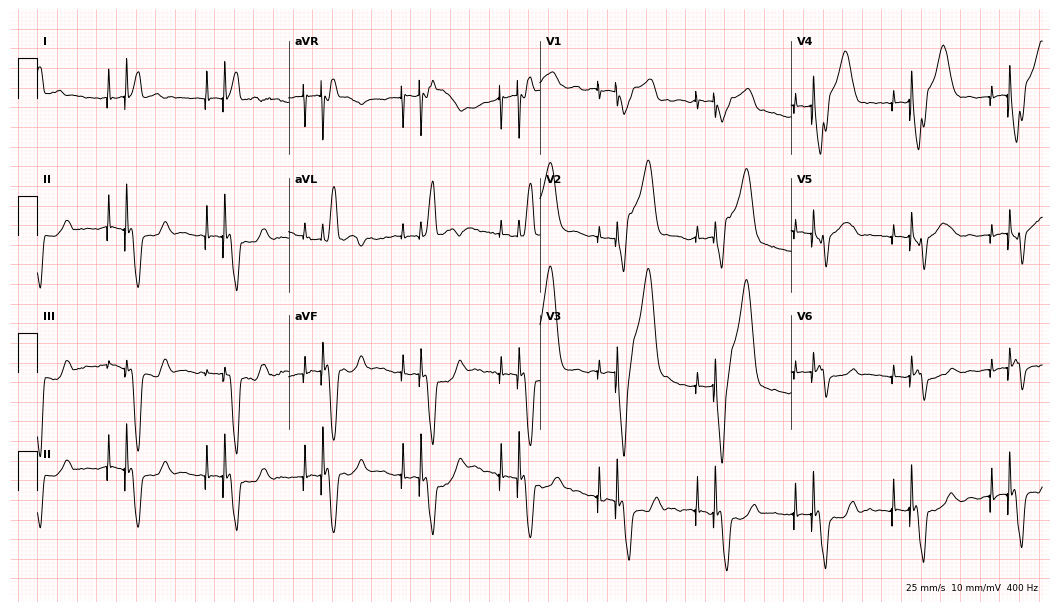
Electrocardiogram, an 83-year-old female. Of the six screened findings (first-degree AV block, right bundle branch block, left bundle branch block, sinus bradycardia, atrial fibrillation, sinus tachycardia), none is recorded. Other findings, if any, are not listed.